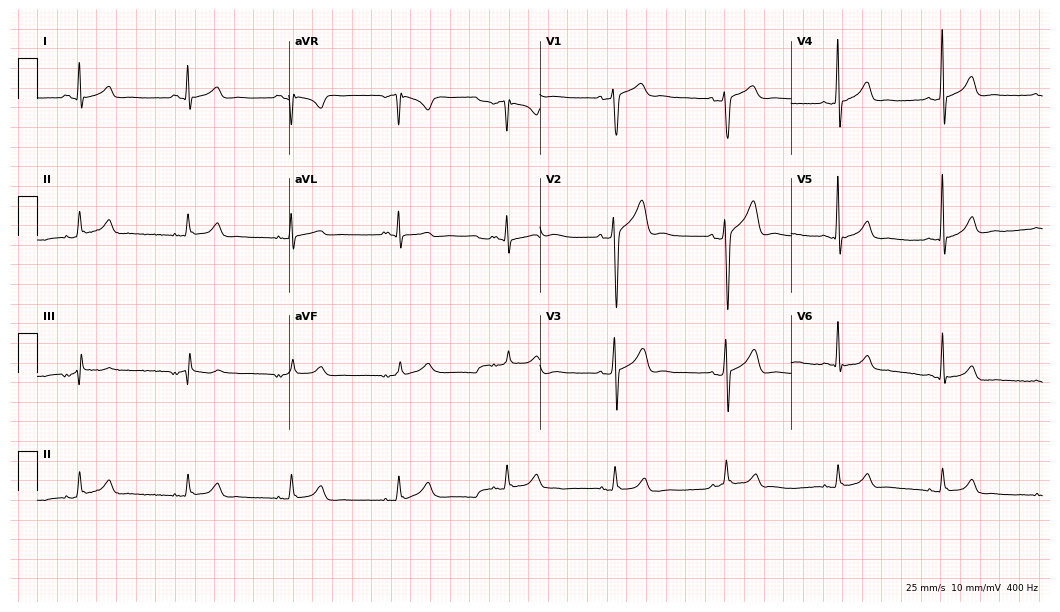
12-lead ECG from a 52-year-old man. No first-degree AV block, right bundle branch block, left bundle branch block, sinus bradycardia, atrial fibrillation or sinus tachycardia recorded for this tracing.